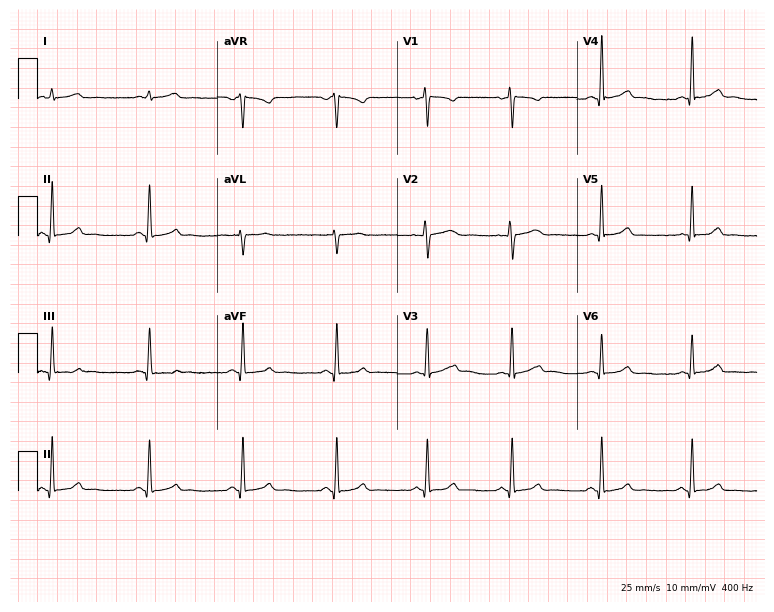
ECG (7.3-second recording at 400 Hz) — a woman, 33 years old. Labelled as a normal ECG.